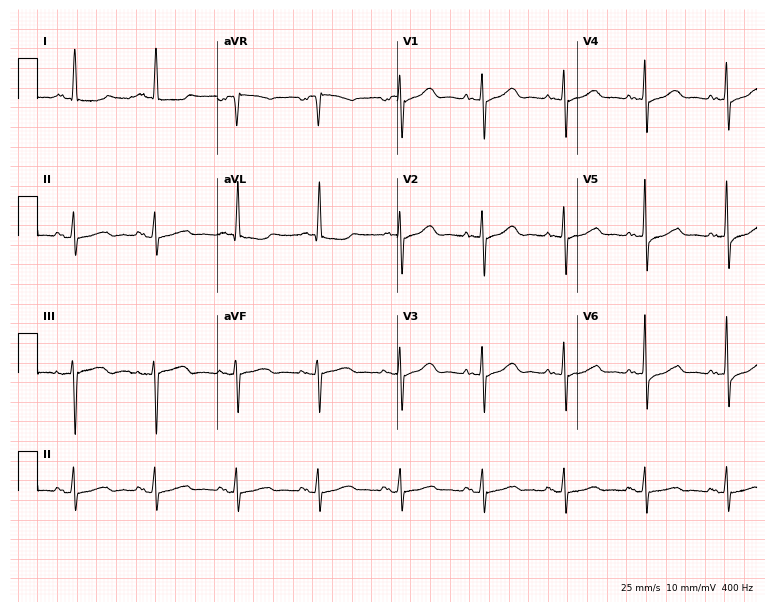
Electrocardiogram (7.3-second recording at 400 Hz), a female, 82 years old. Of the six screened findings (first-degree AV block, right bundle branch block (RBBB), left bundle branch block (LBBB), sinus bradycardia, atrial fibrillation (AF), sinus tachycardia), none is recorded. Only these six findings were labelled.